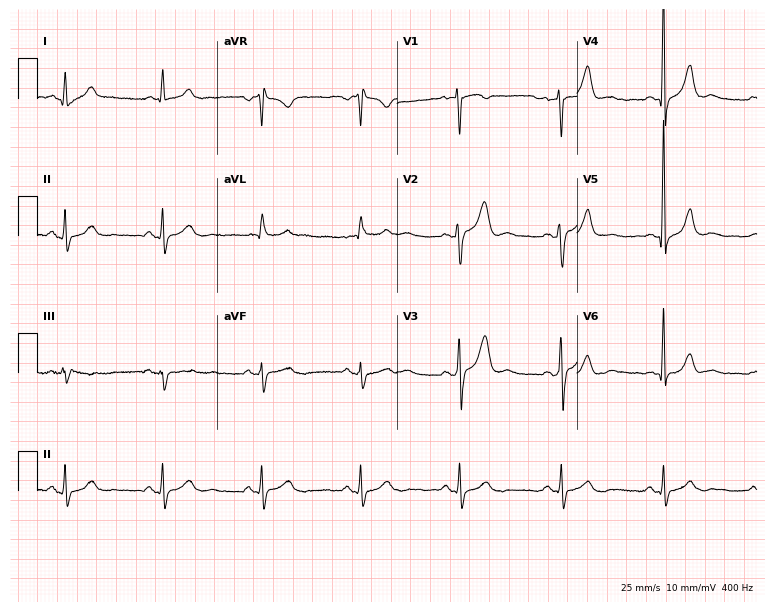
Resting 12-lead electrocardiogram (7.3-second recording at 400 Hz). Patient: a 53-year-old man. None of these six findings is recorded: first-degree AV block, right bundle branch block, left bundle branch block, sinus bradycardia, atrial fibrillation, sinus tachycardia. Findings outside these six are not listed.